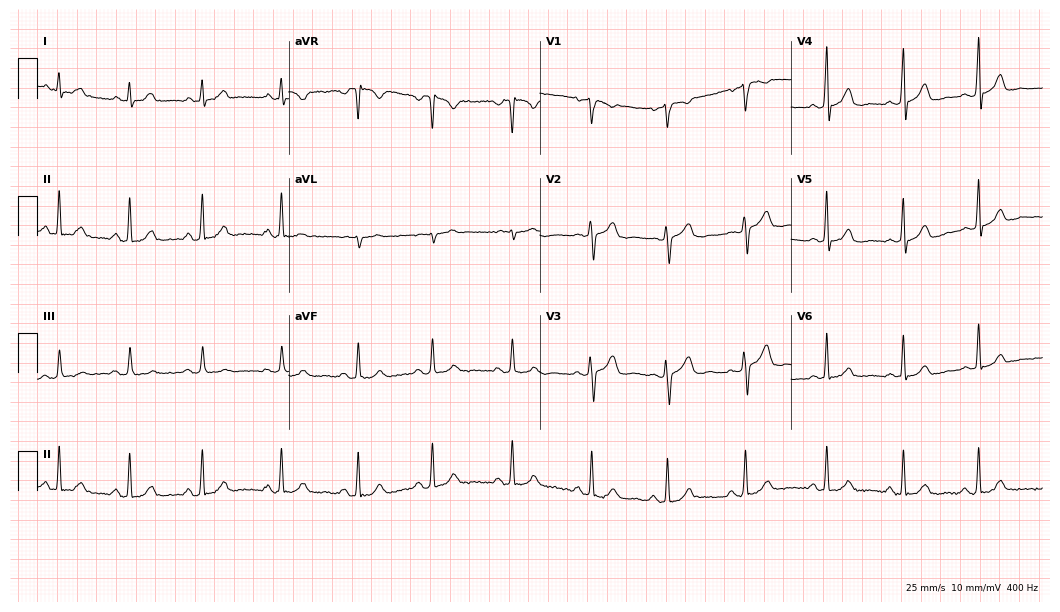
Resting 12-lead electrocardiogram. Patient: a female, 37 years old. Read as a normal ECG.